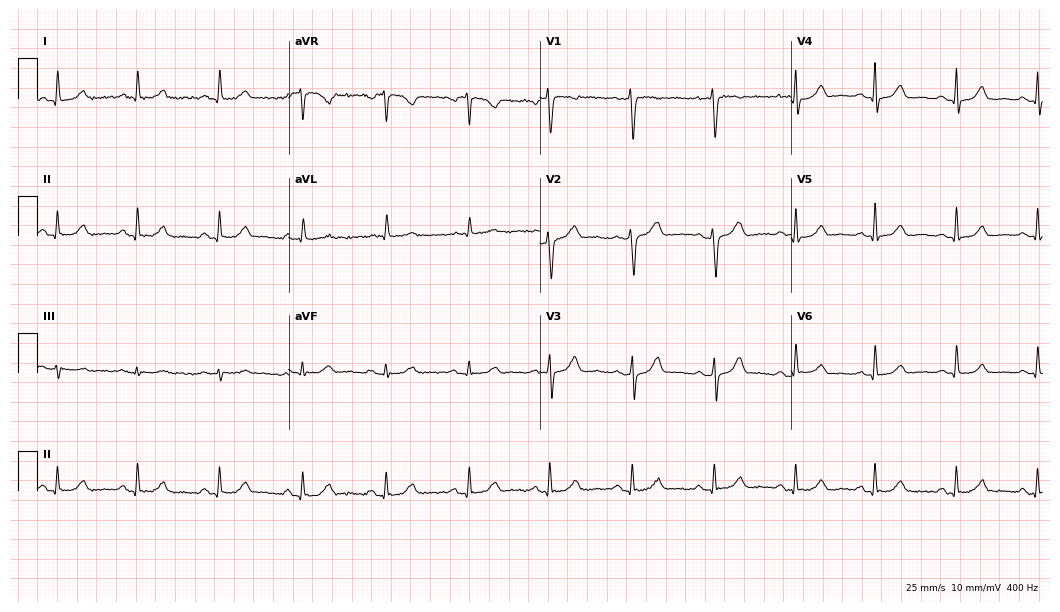
ECG — a 56-year-old female patient. Labelled as a normal ECG.